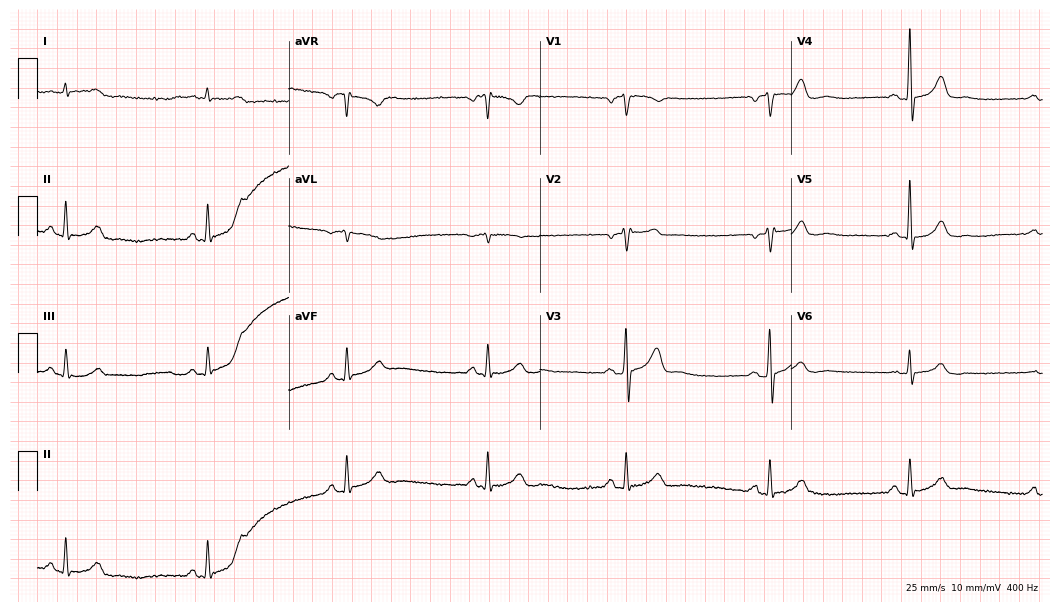
Standard 12-lead ECG recorded from a man, 59 years old. None of these six findings is recorded: first-degree AV block, right bundle branch block, left bundle branch block, sinus bradycardia, atrial fibrillation, sinus tachycardia.